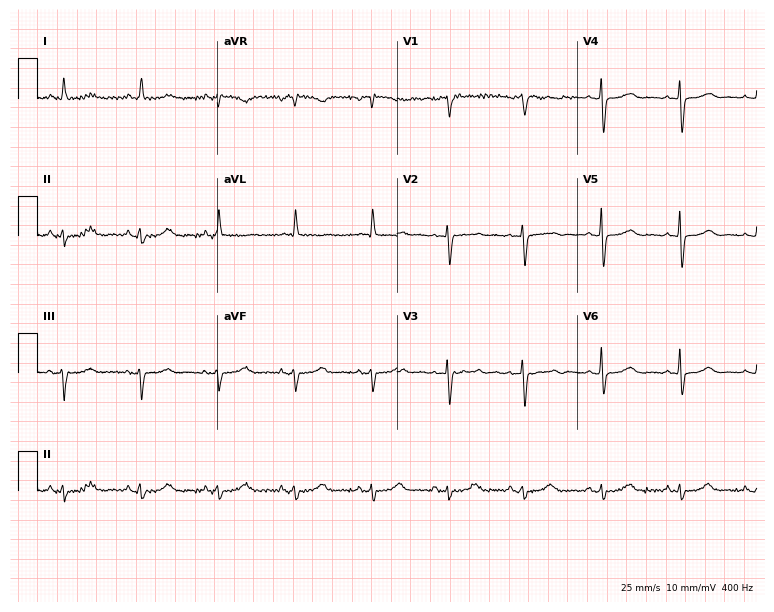
Standard 12-lead ECG recorded from a woman, 83 years old (7.3-second recording at 400 Hz). None of these six findings is recorded: first-degree AV block, right bundle branch block (RBBB), left bundle branch block (LBBB), sinus bradycardia, atrial fibrillation (AF), sinus tachycardia.